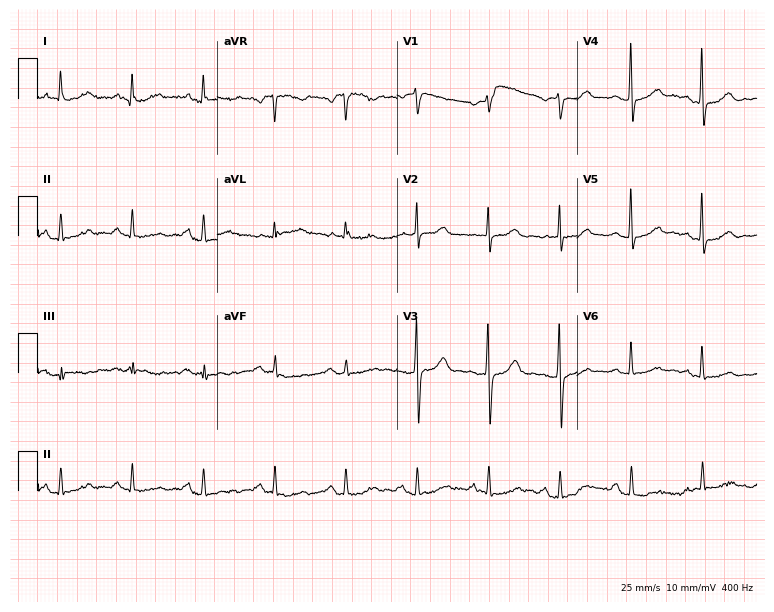
Standard 12-lead ECG recorded from a female patient, 61 years old. Read as a normal ECG.